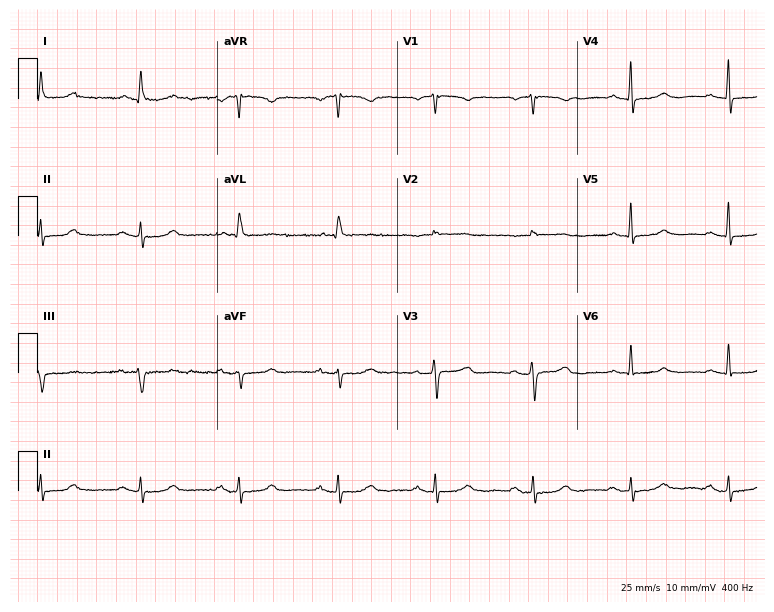
Standard 12-lead ECG recorded from an 81-year-old woman. None of these six findings is recorded: first-degree AV block, right bundle branch block (RBBB), left bundle branch block (LBBB), sinus bradycardia, atrial fibrillation (AF), sinus tachycardia.